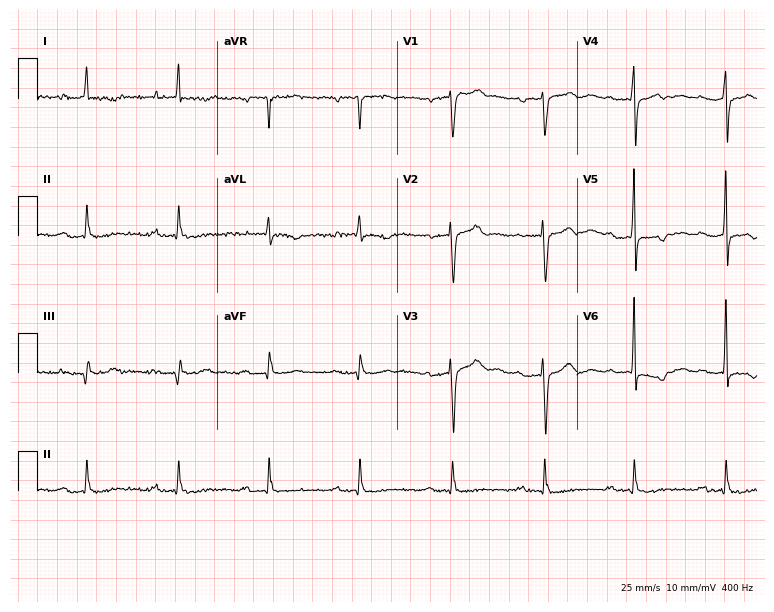
12-lead ECG (7.3-second recording at 400 Hz) from a man, 77 years old. Findings include first-degree AV block.